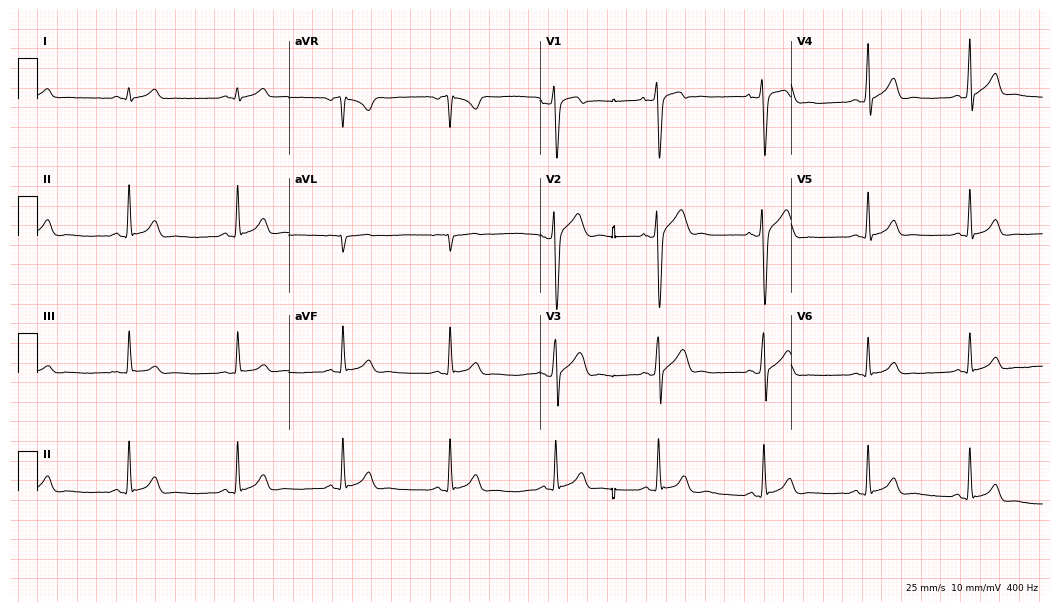
12-lead ECG from a man, 36 years old. Recorded interpretation: within normal limits.